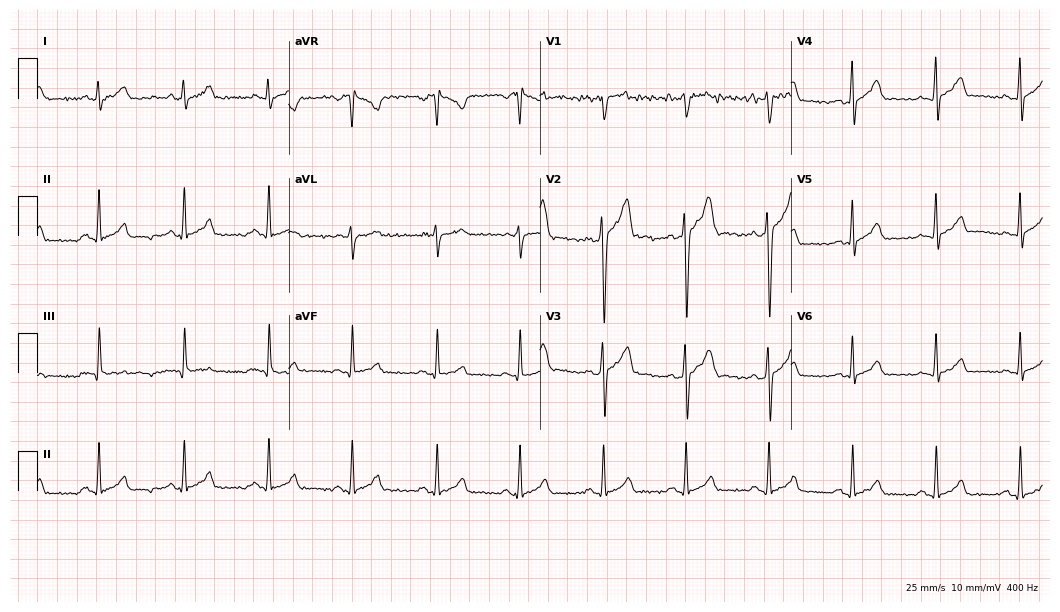
Standard 12-lead ECG recorded from a male patient, 27 years old (10.2-second recording at 400 Hz). Read as a normal ECG.